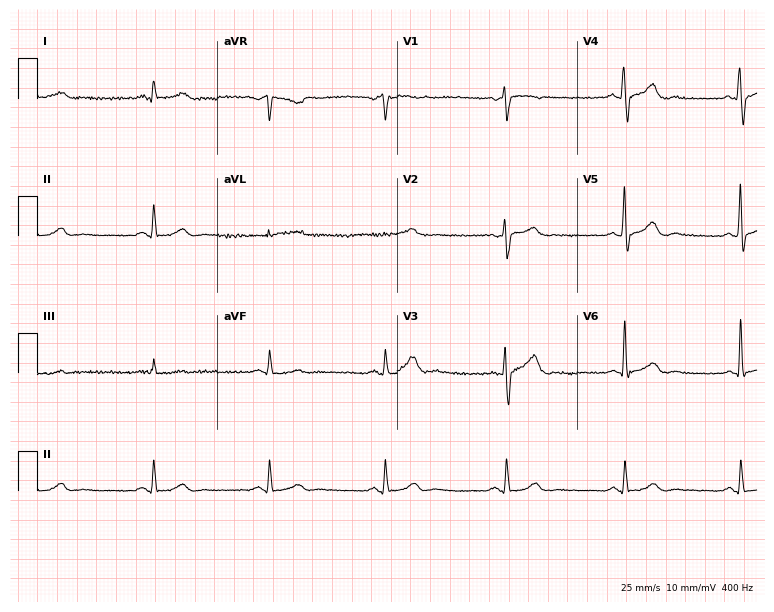
Electrocardiogram, a man, 60 years old. Interpretation includes sinus bradycardia (a sinus rate of 50 beats per minute or less).